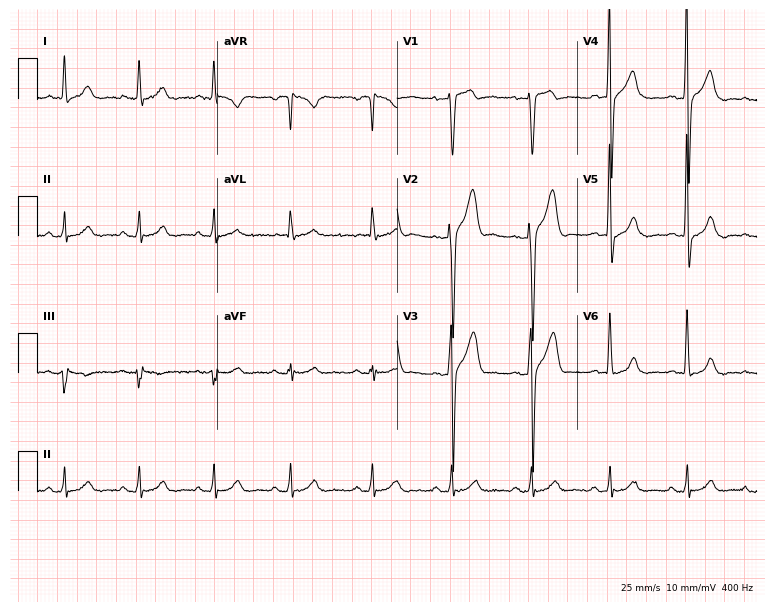
Standard 12-lead ECG recorded from a 32-year-old male patient (7.3-second recording at 400 Hz). None of these six findings is recorded: first-degree AV block, right bundle branch block, left bundle branch block, sinus bradycardia, atrial fibrillation, sinus tachycardia. Only these six findings were labelled.